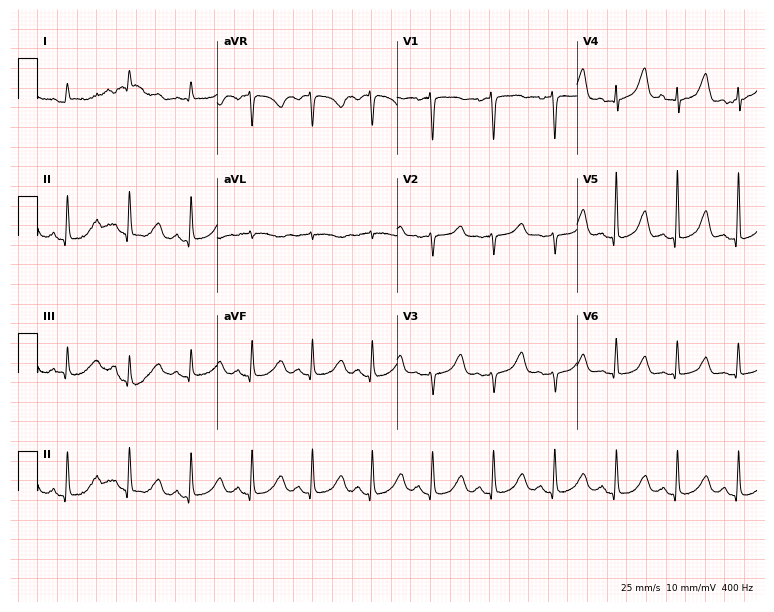
Electrocardiogram, a female patient, 57 years old. Overall reading on record: normal ECG.